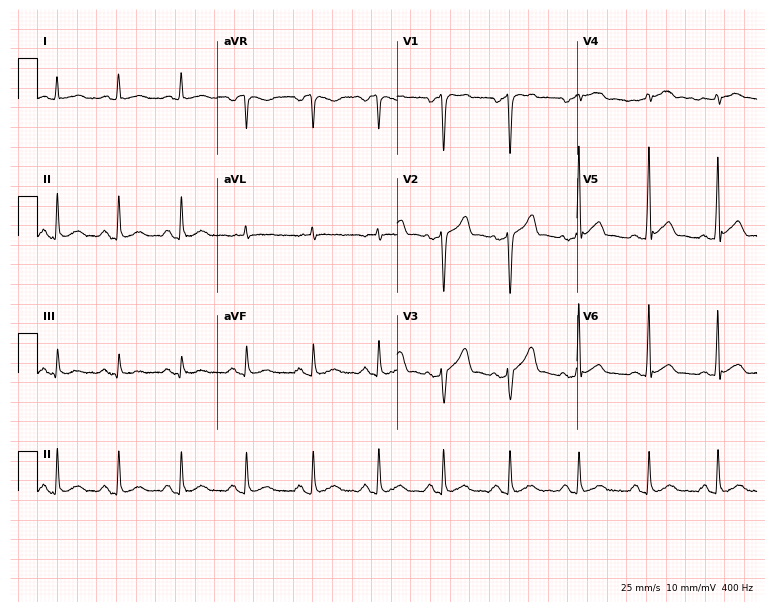
ECG (7.3-second recording at 400 Hz) — a male patient, 51 years old. Screened for six findings — first-degree AV block, right bundle branch block, left bundle branch block, sinus bradycardia, atrial fibrillation, sinus tachycardia — none is recorded. Only these six findings were labelled.